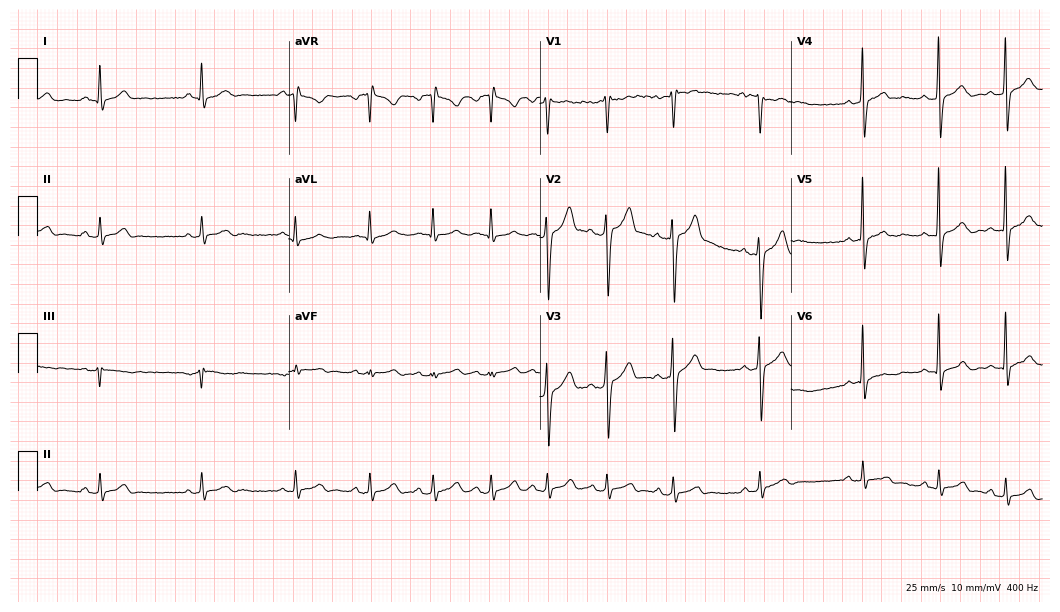
Resting 12-lead electrocardiogram (10.2-second recording at 400 Hz). Patient: a male, 31 years old. Read as a normal ECG.